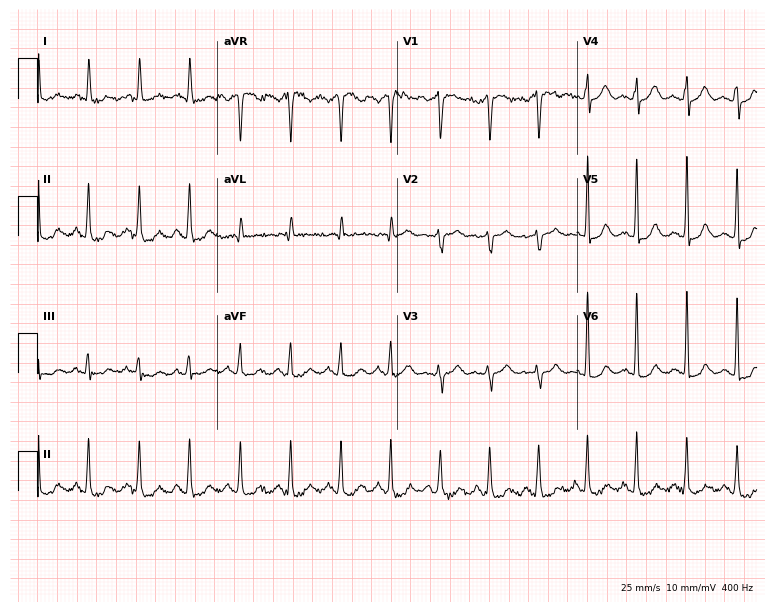
12-lead ECG from a female, 70 years old (7.3-second recording at 400 Hz). Shows sinus tachycardia (a sinus rate of 100 beats per minute or more).